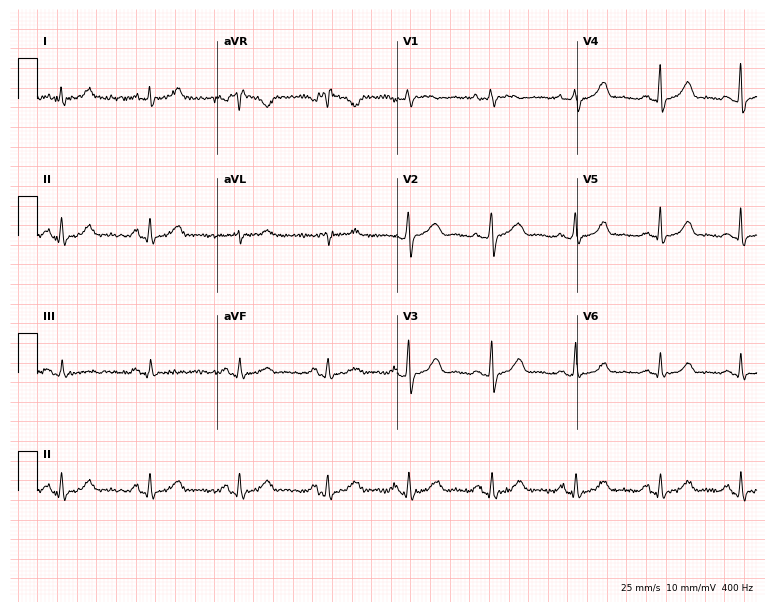
Resting 12-lead electrocardiogram (7.3-second recording at 400 Hz). Patient: a 37-year-old female. Read as a normal ECG.